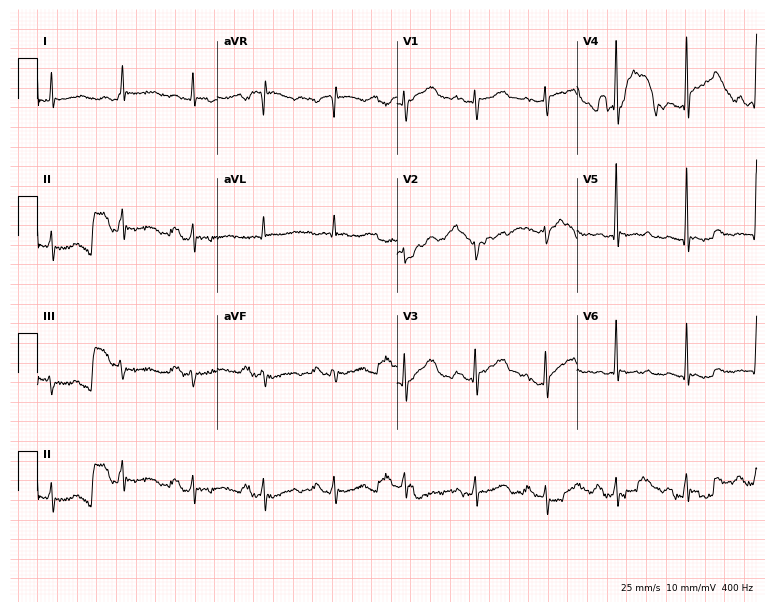
Resting 12-lead electrocardiogram (7.3-second recording at 400 Hz). Patient: an 82-year-old male. None of these six findings is recorded: first-degree AV block, right bundle branch block (RBBB), left bundle branch block (LBBB), sinus bradycardia, atrial fibrillation (AF), sinus tachycardia.